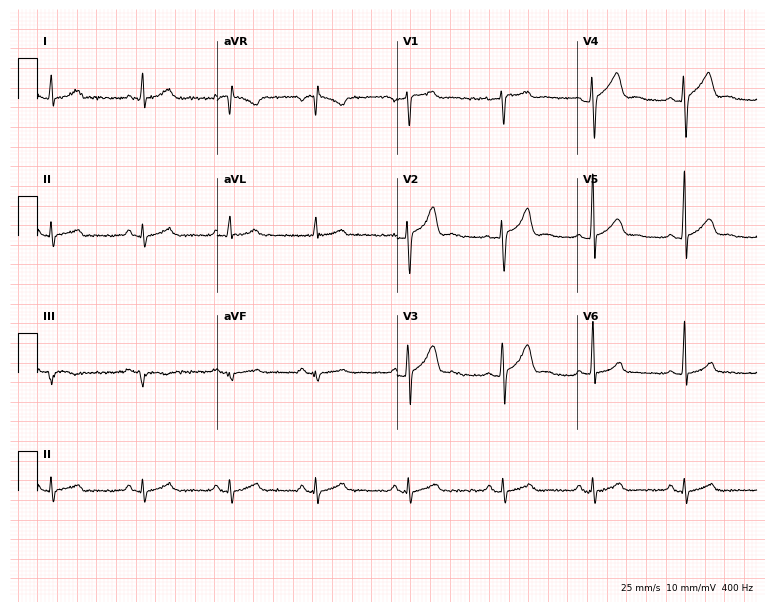
12-lead ECG (7.3-second recording at 400 Hz) from a male, 24 years old. Labelled as a normal ECG.